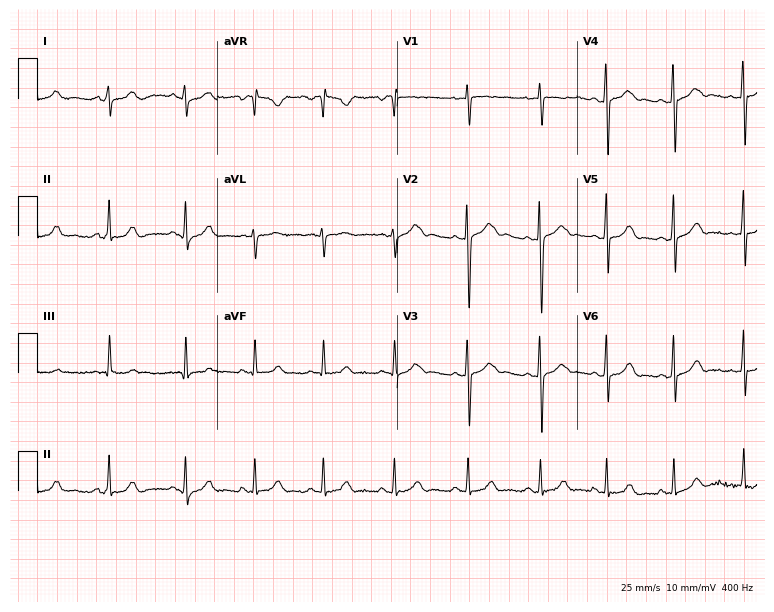
Electrocardiogram, a woman, 17 years old. Of the six screened findings (first-degree AV block, right bundle branch block (RBBB), left bundle branch block (LBBB), sinus bradycardia, atrial fibrillation (AF), sinus tachycardia), none is recorded.